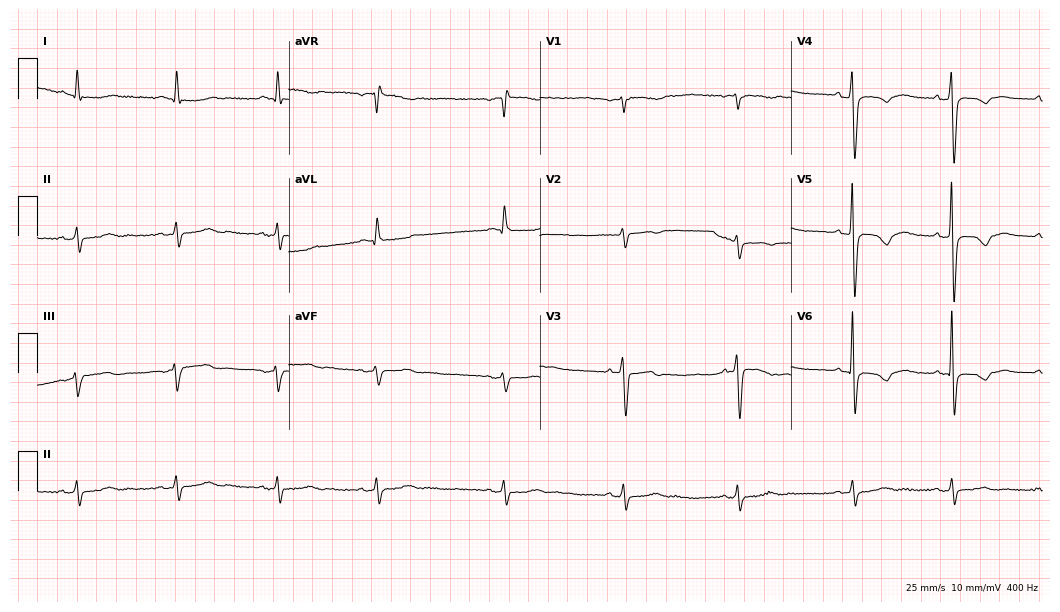
Electrocardiogram (10.2-second recording at 400 Hz), a 78-year-old female. Of the six screened findings (first-degree AV block, right bundle branch block (RBBB), left bundle branch block (LBBB), sinus bradycardia, atrial fibrillation (AF), sinus tachycardia), none is recorded.